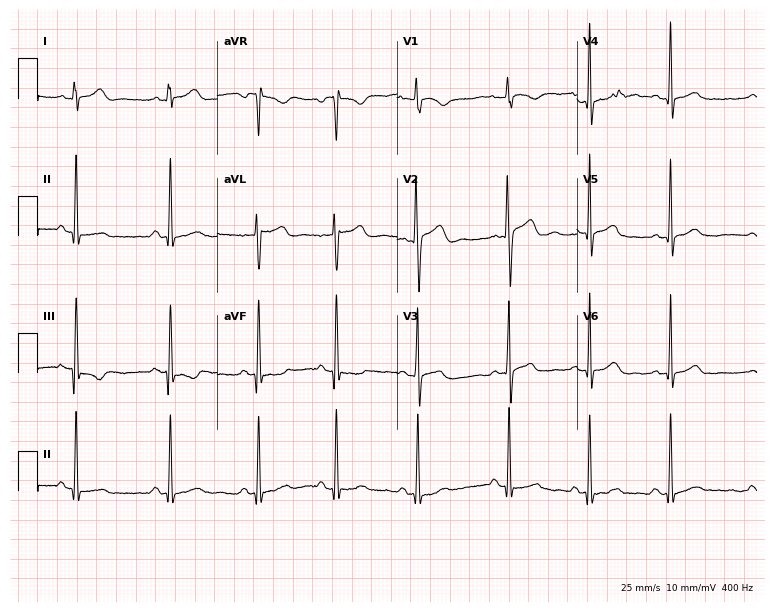
12-lead ECG from a 19-year-old female. Recorded interpretation: within normal limits.